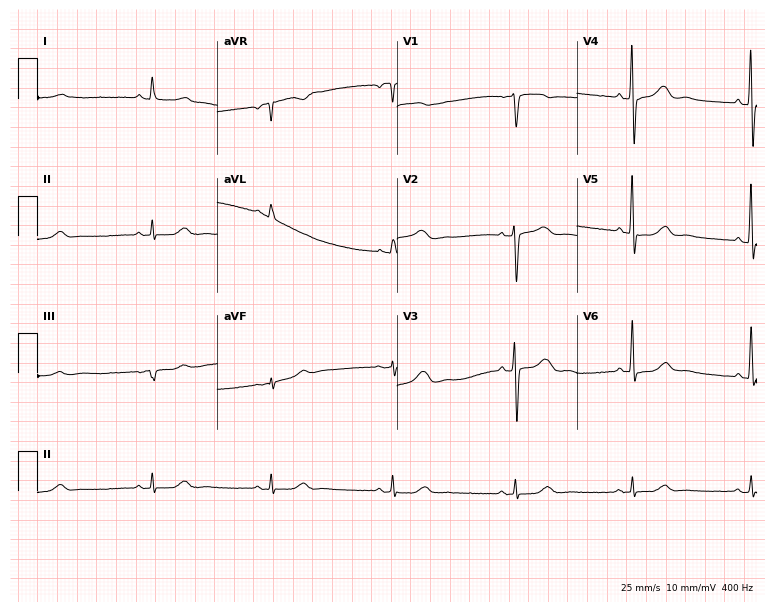
Electrocardiogram, a male, 71 years old. Interpretation includes sinus bradycardia (a sinus rate of 50 beats per minute or less).